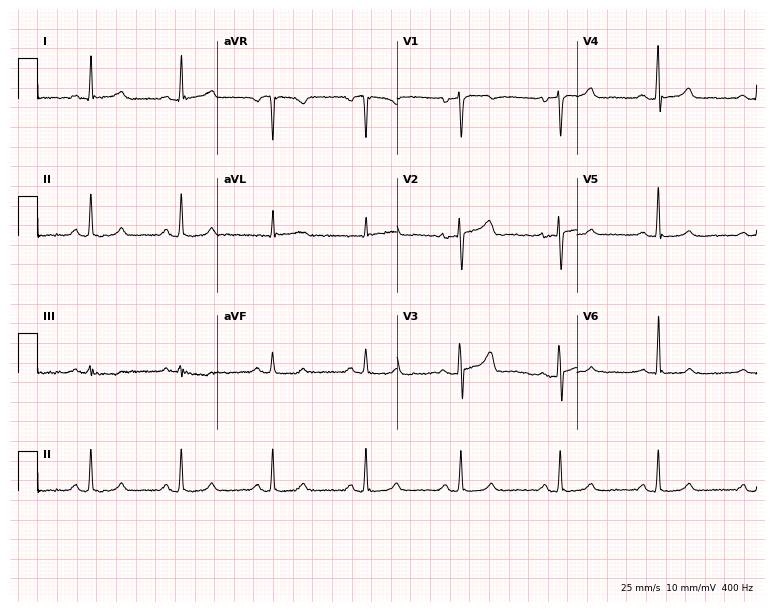
Resting 12-lead electrocardiogram (7.3-second recording at 400 Hz). Patient: a 50-year-old female. Read as a normal ECG.